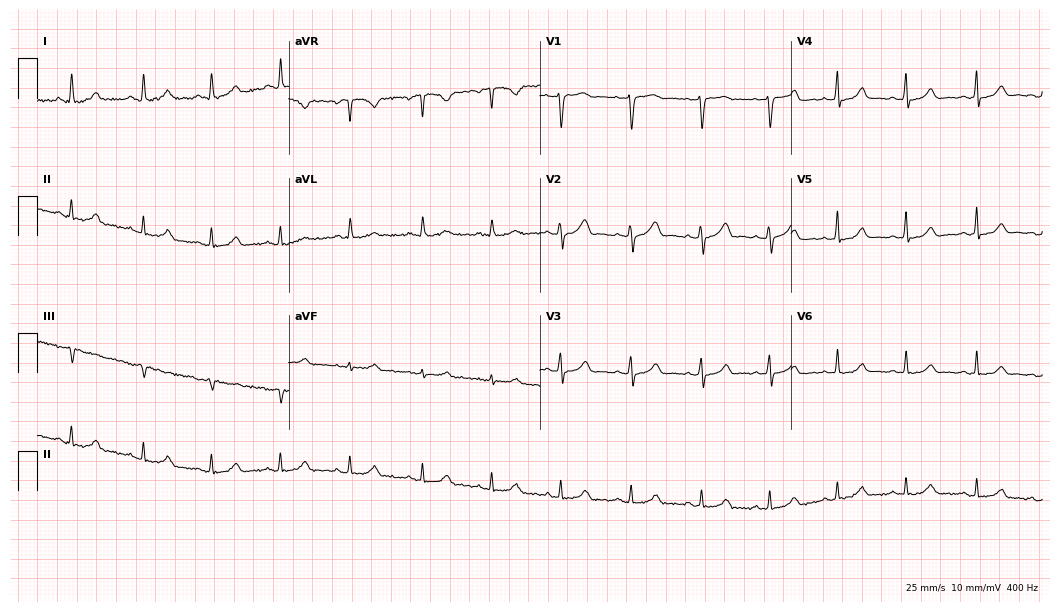
ECG (10.2-second recording at 400 Hz) — a 37-year-old female patient. Screened for six findings — first-degree AV block, right bundle branch block (RBBB), left bundle branch block (LBBB), sinus bradycardia, atrial fibrillation (AF), sinus tachycardia — none is recorded. Only these six findings were labelled.